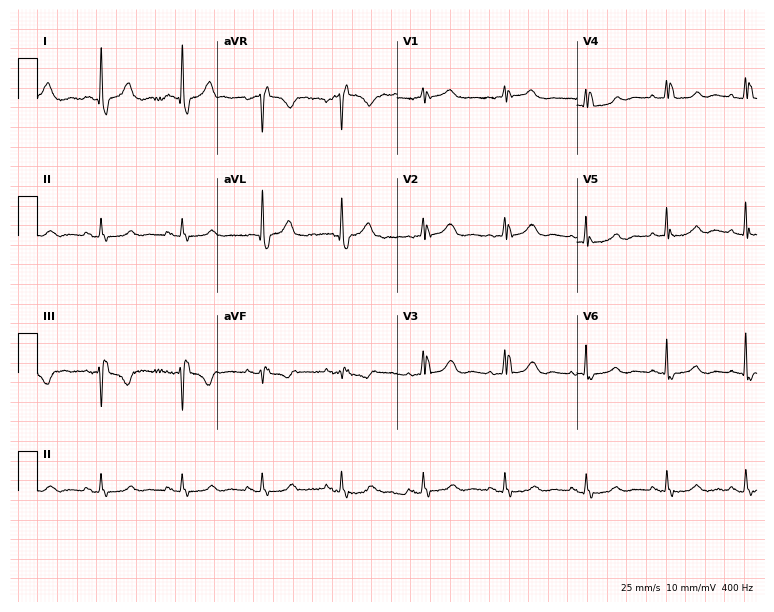
ECG (7.3-second recording at 400 Hz) — a female patient, 84 years old. Screened for six findings — first-degree AV block, right bundle branch block, left bundle branch block, sinus bradycardia, atrial fibrillation, sinus tachycardia — none is recorded.